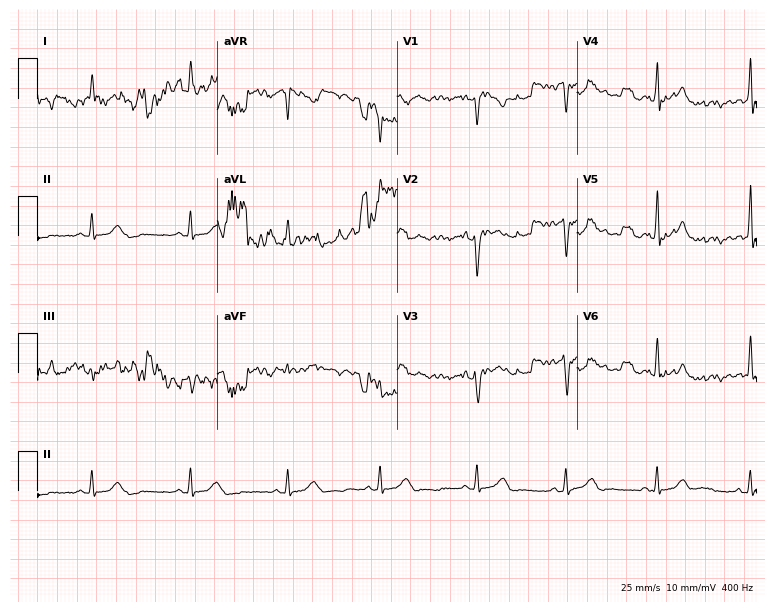
12-lead ECG (7.3-second recording at 400 Hz) from a female patient, 18 years old. Screened for six findings — first-degree AV block, right bundle branch block, left bundle branch block, sinus bradycardia, atrial fibrillation, sinus tachycardia — none is recorded.